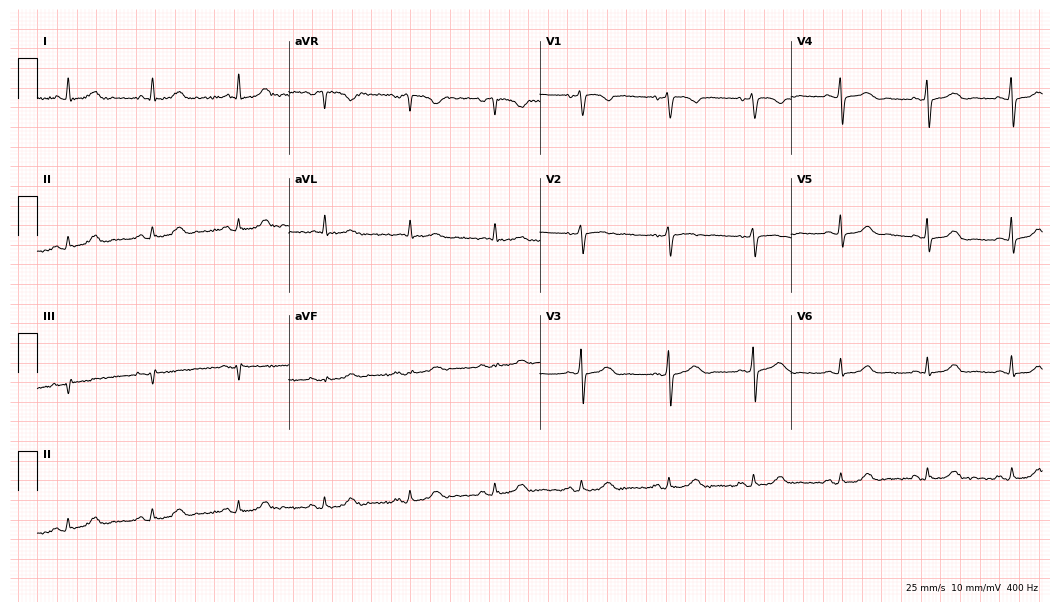
Electrocardiogram, a woman, 74 years old. Of the six screened findings (first-degree AV block, right bundle branch block, left bundle branch block, sinus bradycardia, atrial fibrillation, sinus tachycardia), none is recorded.